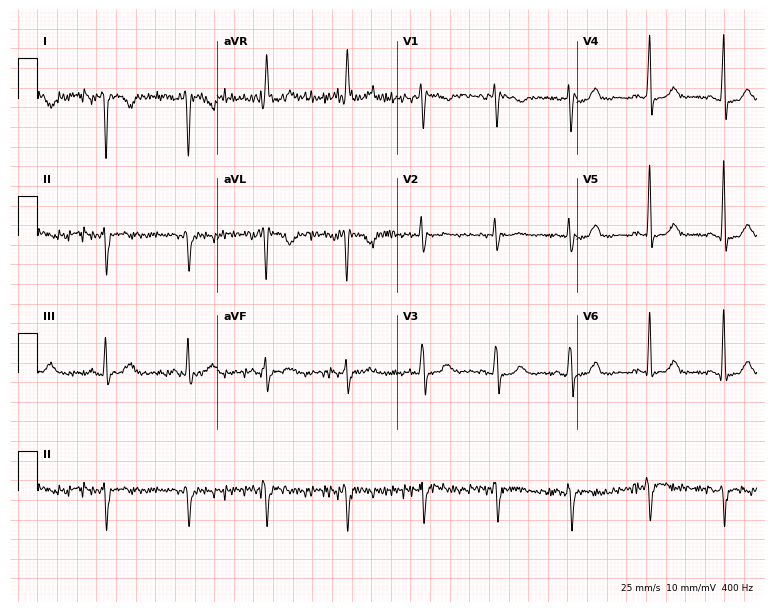
Electrocardiogram (7.3-second recording at 400 Hz), a female patient, 53 years old. Of the six screened findings (first-degree AV block, right bundle branch block (RBBB), left bundle branch block (LBBB), sinus bradycardia, atrial fibrillation (AF), sinus tachycardia), none is recorded.